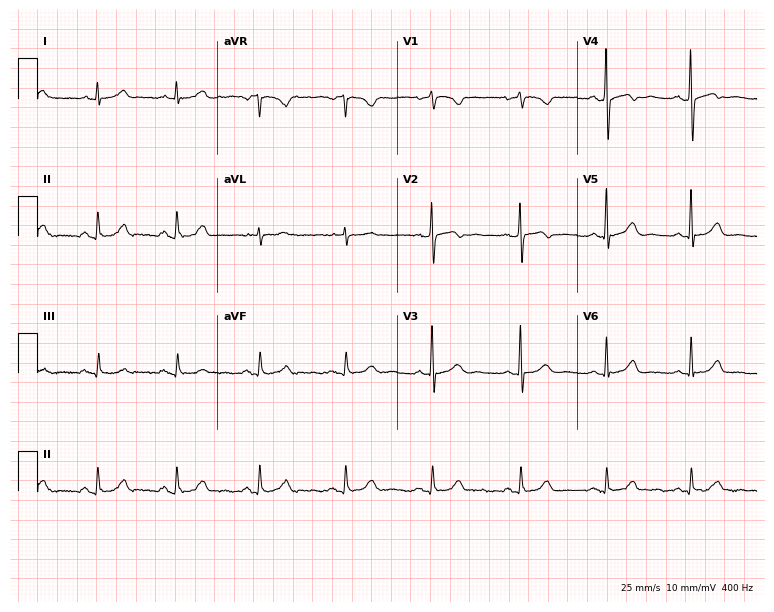
Resting 12-lead electrocardiogram. Patient: a woman, 51 years old. Read as a normal ECG.